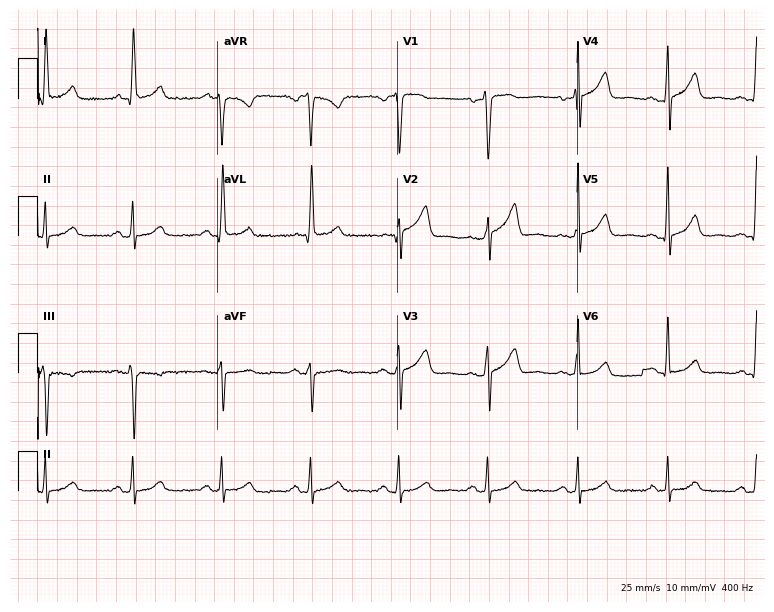
ECG — a 61-year-old female patient. Labelled as a normal ECG.